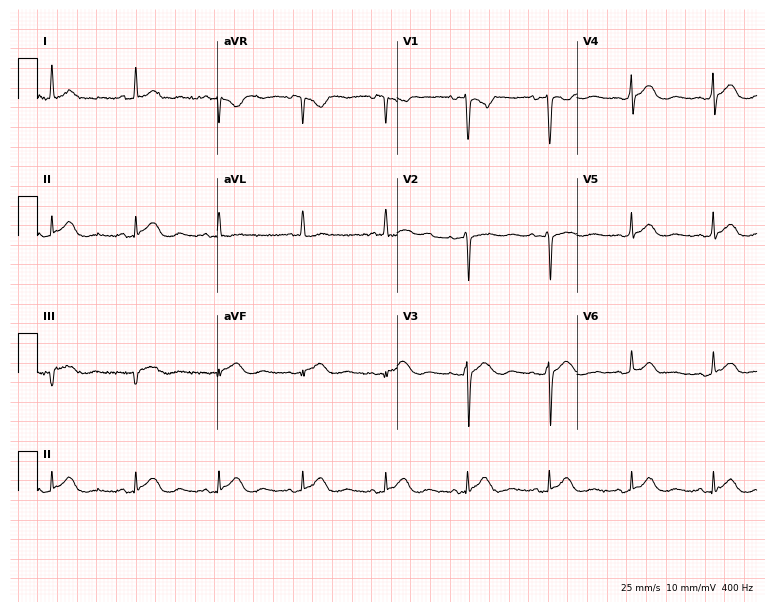
Resting 12-lead electrocardiogram. Patient: a female, 83 years old. None of these six findings is recorded: first-degree AV block, right bundle branch block, left bundle branch block, sinus bradycardia, atrial fibrillation, sinus tachycardia.